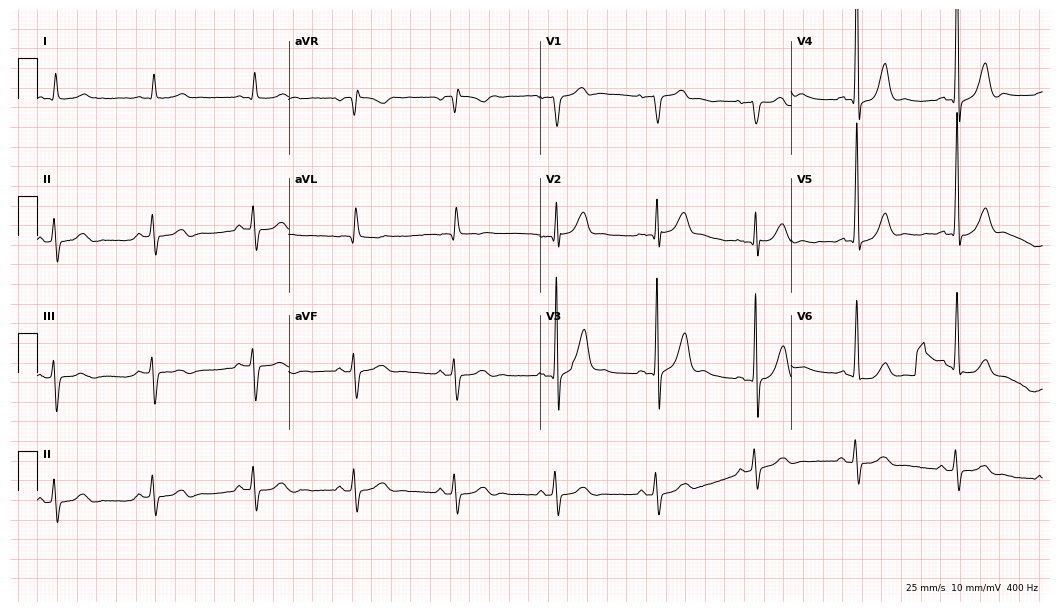
12-lead ECG from a male patient, 85 years old (10.2-second recording at 400 Hz). No first-degree AV block, right bundle branch block (RBBB), left bundle branch block (LBBB), sinus bradycardia, atrial fibrillation (AF) or sinus tachycardia recorded for this tracing. Only these six findings were labelled.